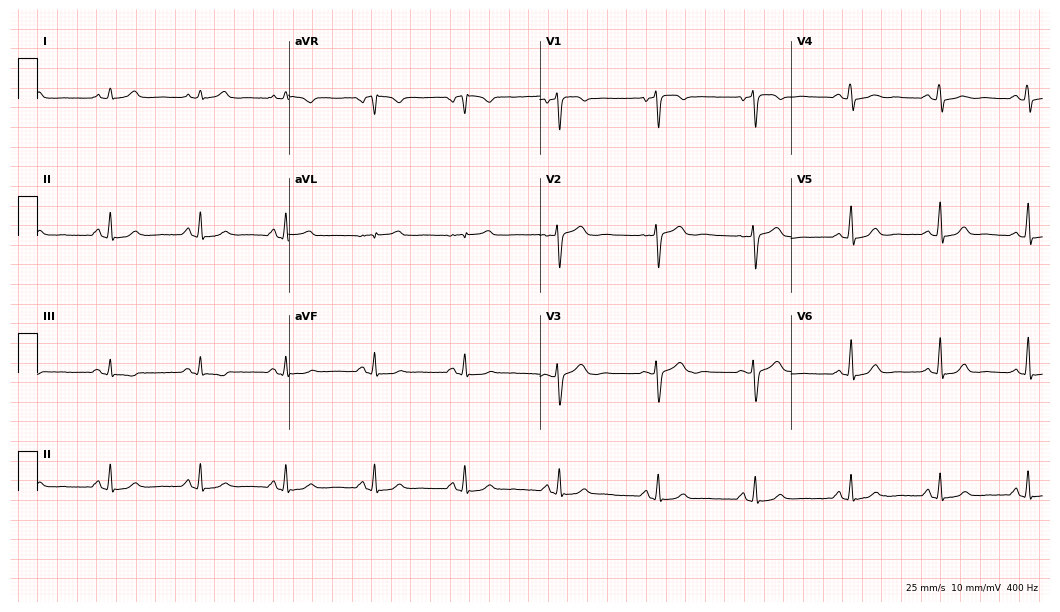
Standard 12-lead ECG recorded from a 36-year-old female. Read as a normal ECG.